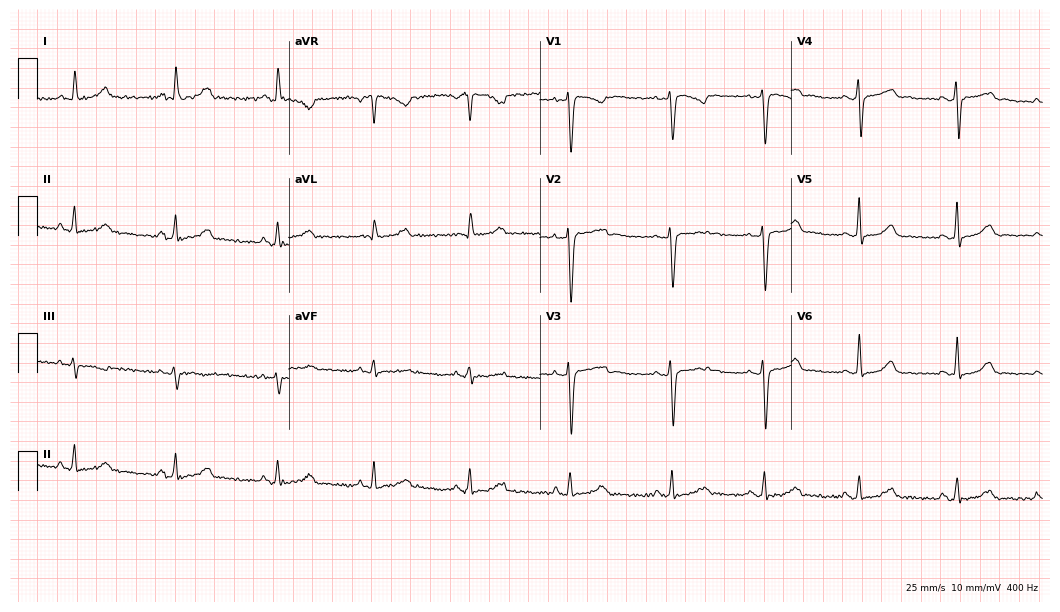
ECG (10.2-second recording at 400 Hz) — a 42-year-old female. Screened for six findings — first-degree AV block, right bundle branch block, left bundle branch block, sinus bradycardia, atrial fibrillation, sinus tachycardia — none is recorded. Only these six findings were labelled.